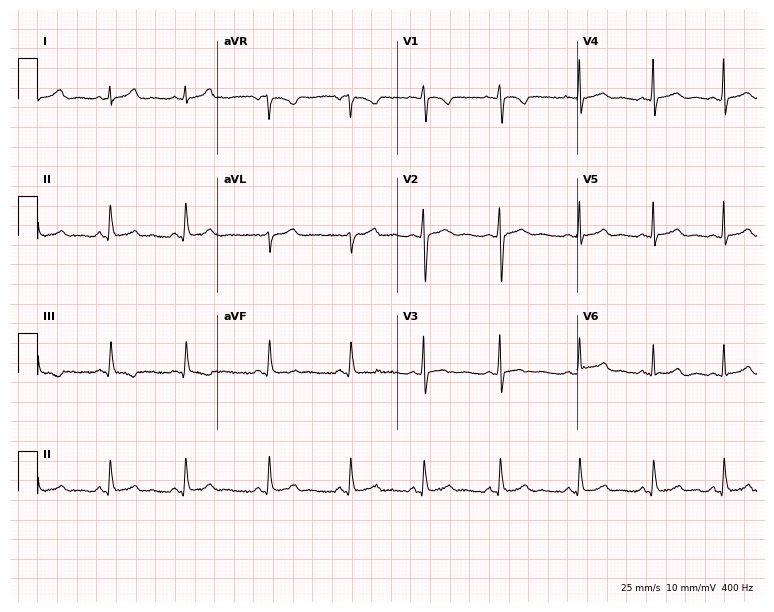
12-lead ECG from a female, 18 years old. Labelled as a normal ECG.